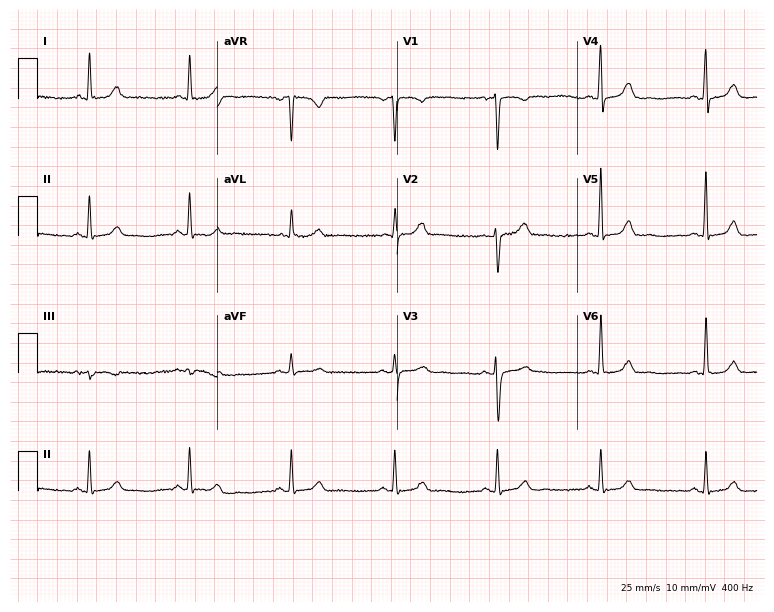
ECG (7.3-second recording at 400 Hz) — a 63-year-old female patient. Labelled as a normal ECG.